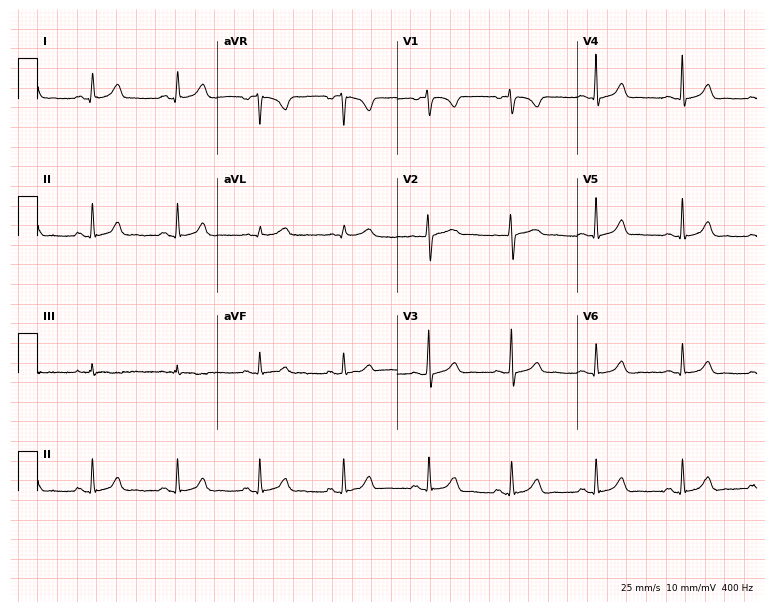
Resting 12-lead electrocardiogram (7.3-second recording at 400 Hz). Patient: an 18-year-old female. Read as a normal ECG.